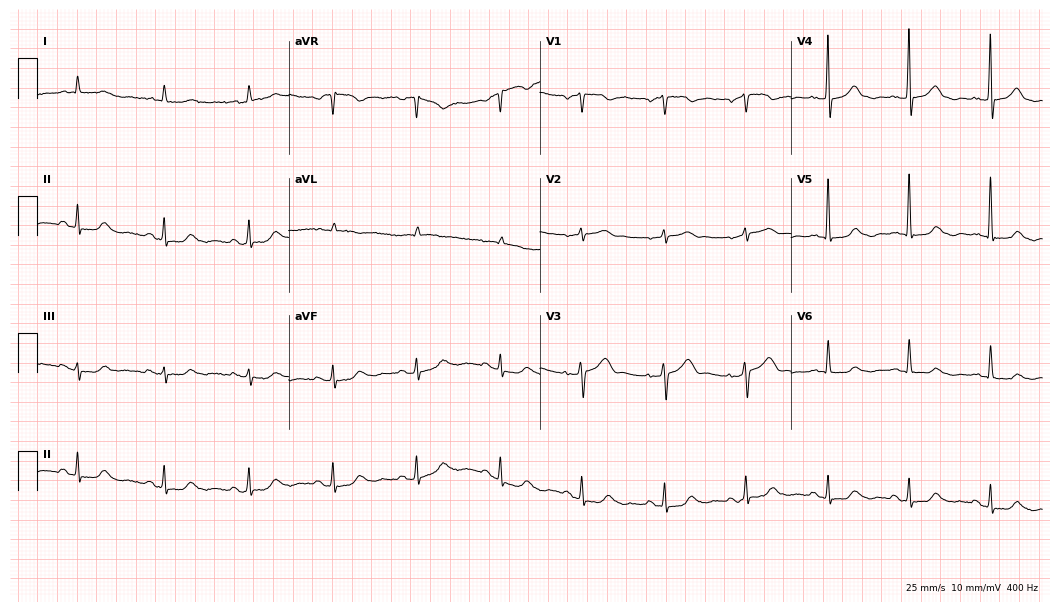
Electrocardiogram, a male, 26 years old. Overall reading on record: normal ECG.